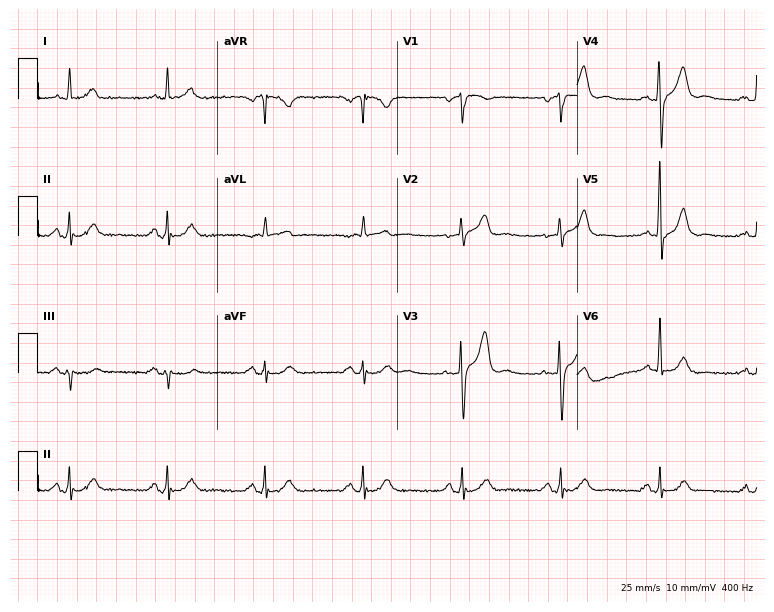
Resting 12-lead electrocardiogram. Patient: a man, 74 years old. Read as a normal ECG.